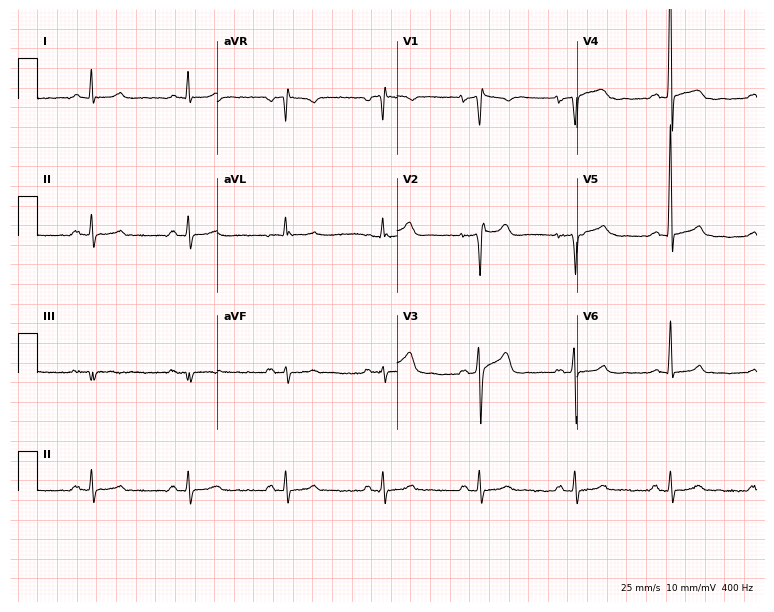
12-lead ECG (7.3-second recording at 400 Hz) from a 63-year-old man. Screened for six findings — first-degree AV block, right bundle branch block, left bundle branch block, sinus bradycardia, atrial fibrillation, sinus tachycardia — none is recorded. Only these six findings were labelled.